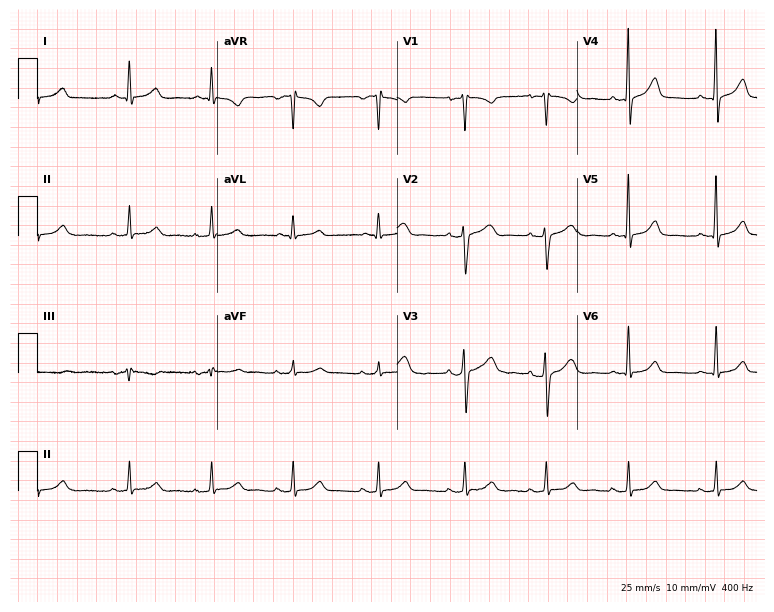
12-lead ECG (7.3-second recording at 400 Hz) from a woman, 51 years old. Screened for six findings — first-degree AV block, right bundle branch block (RBBB), left bundle branch block (LBBB), sinus bradycardia, atrial fibrillation (AF), sinus tachycardia — none is recorded.